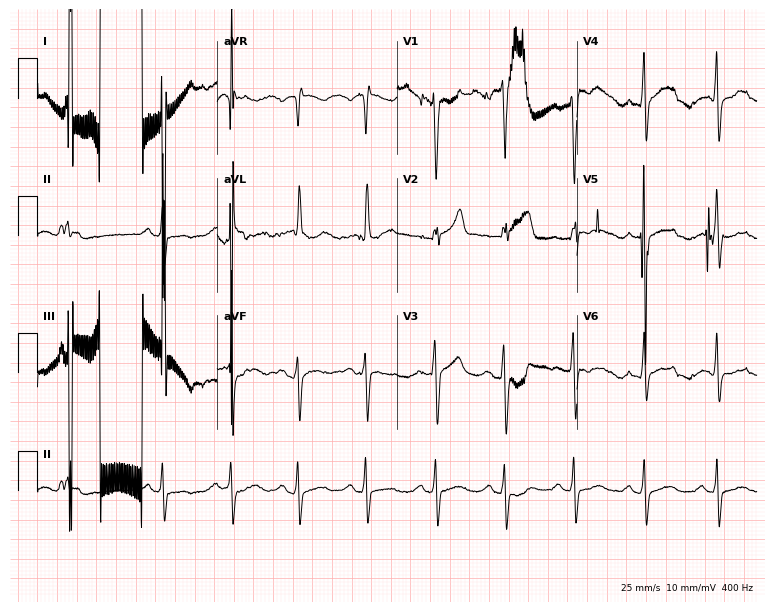
Electrocardiogram (7.3-second recording at 400 Hz), a woman, 58 years old. Of the six screened findings (first-degree AV block, right bundle branch block, left bundle branch block, sinus bradycardia, atrial fibrillation, sinus tachycardia), none is recorded.